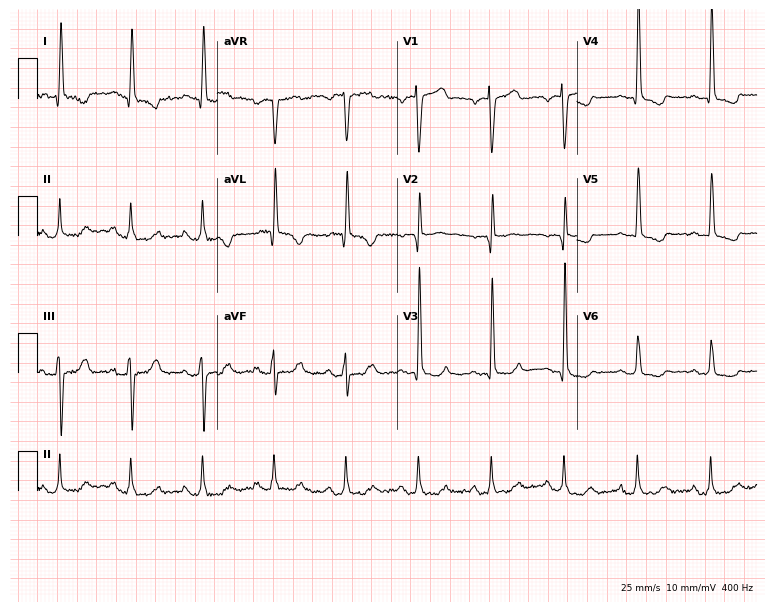
Electrocardiogram (7.3-second recording at 400 Hz), a 79-year-old woman. Of the six screened findings (first-degree AV block, right bundle branch block, left bundle branch block, sinus bradycardia, atrial fibrillation, sinus tachycardia), none is recorded.